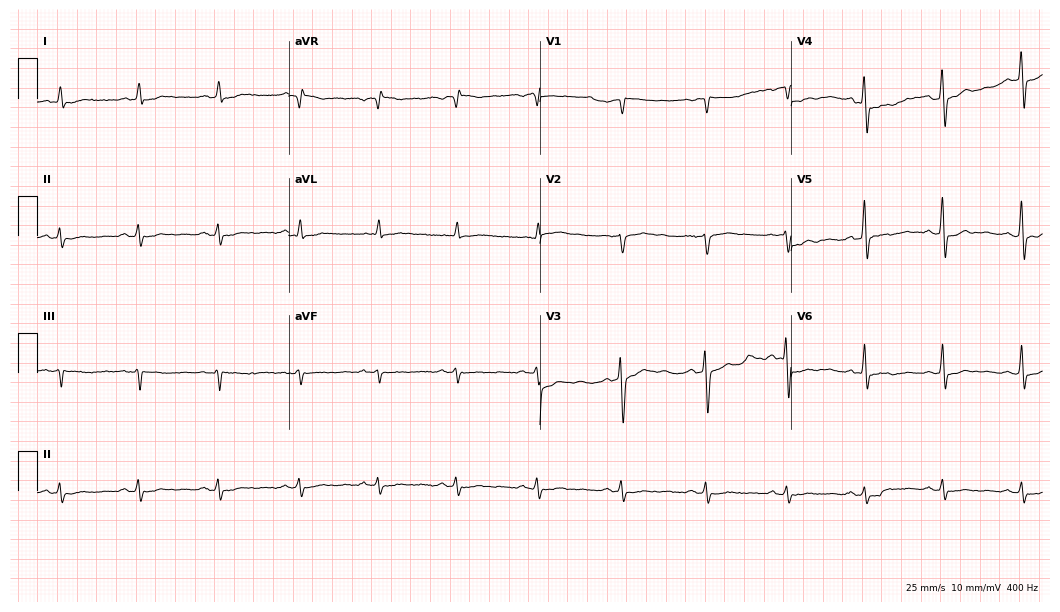
Electrocardiogram, a man, 55 years old. Of the six screened findings (first-degree AV block, right bundle branch block, left bundle branch block, sinus bradycardia, atrial fibrillation, sinus tachycardia), none is recorded.